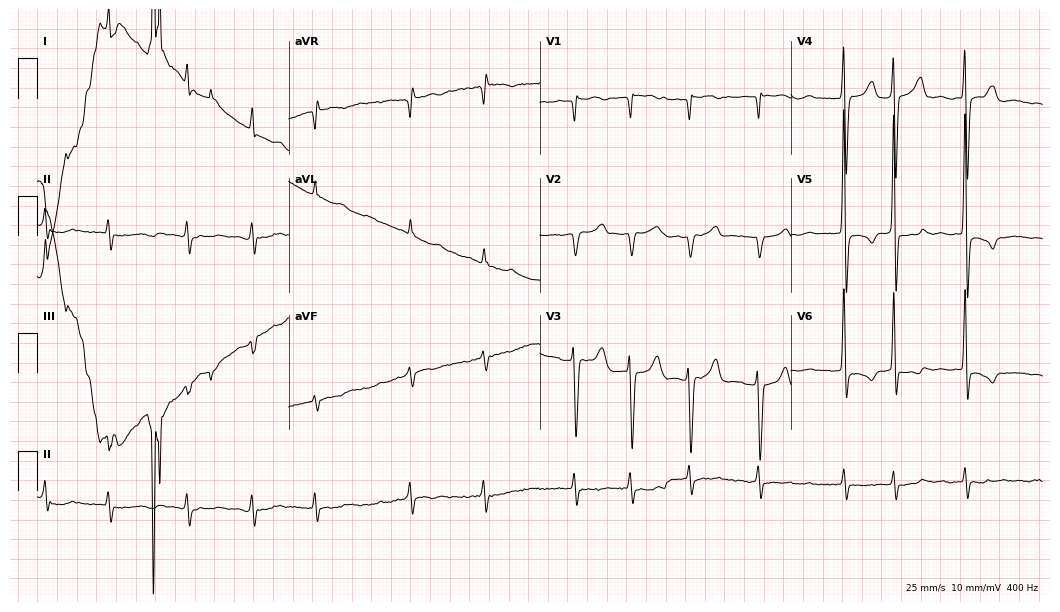
Electrocardiogram, a 78-year-old male. Of the six screened findings (first-degree AV block, right bundle branch block (RBBB), left bundle branch block (LBBB), sinus bradycardia, atrial fibrillation (AF), sinus tachycardia), none is recorded.